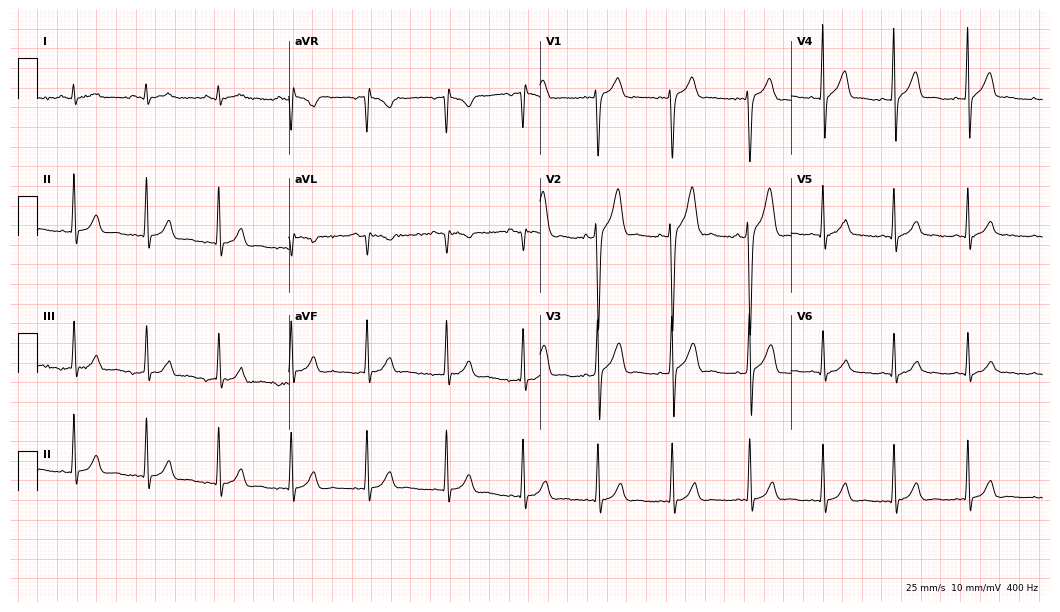
ECG — a man, 21 years old. Labelled as a normal ECG.